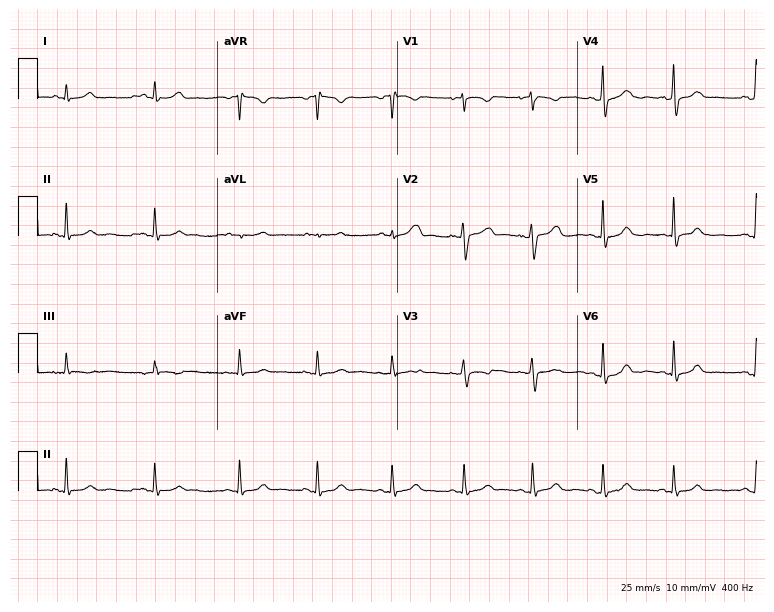
Standard 12-lead ECG recorded from a female, 46 years old. Read as a normal ECG.